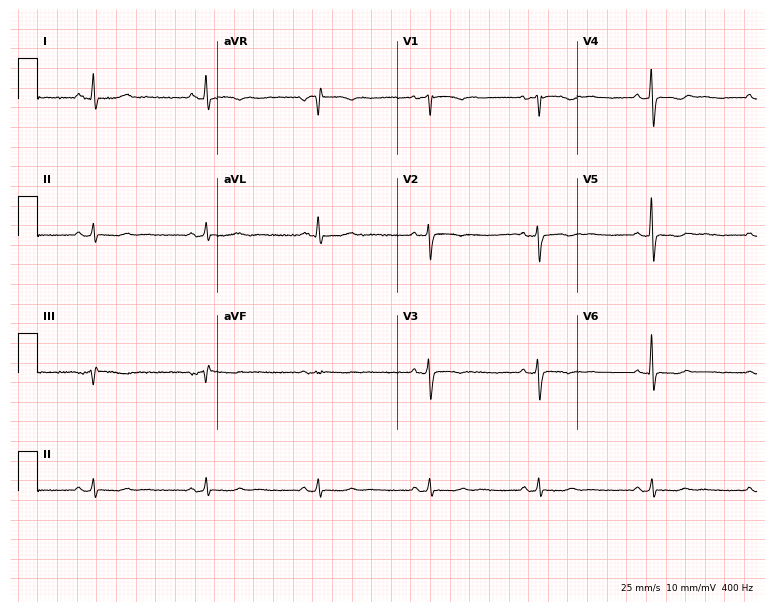
ECG (7.3-second recording at 400 Hz) — a female patient, 54 years old. Screened for six findings — first-degree AV block, right bundle branch block (RBBB), left bundle branch block (LBBB), sinus bradycardia, atrial fibrillation (AF), sinus tachycardia — none is recorded.